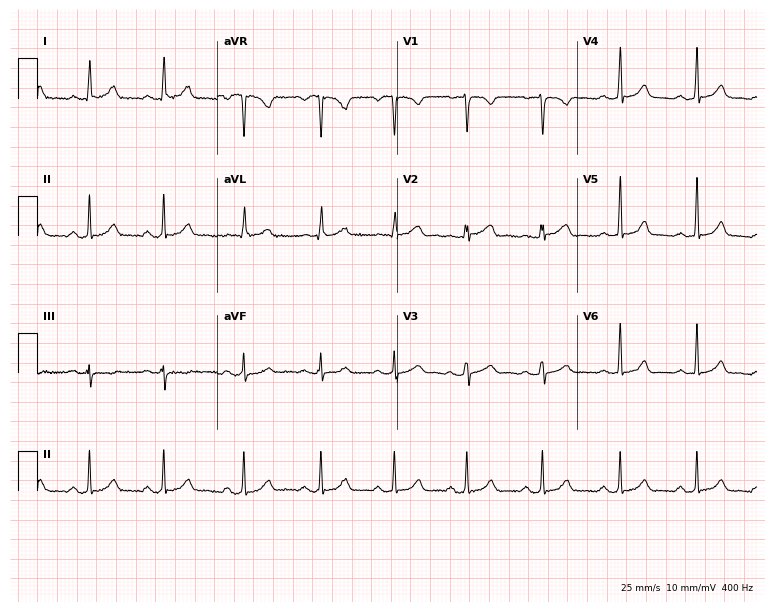
Resting 12-lead electrocardiogram (7.3-second recording at 400 Hz). Patient: a female, 44 years old. None of these six findings is recorded: first-degree AV block, right bundle branch block, left bundle branch block, sinus bradycardia, atrial fibrillation, sinus tachycardia.